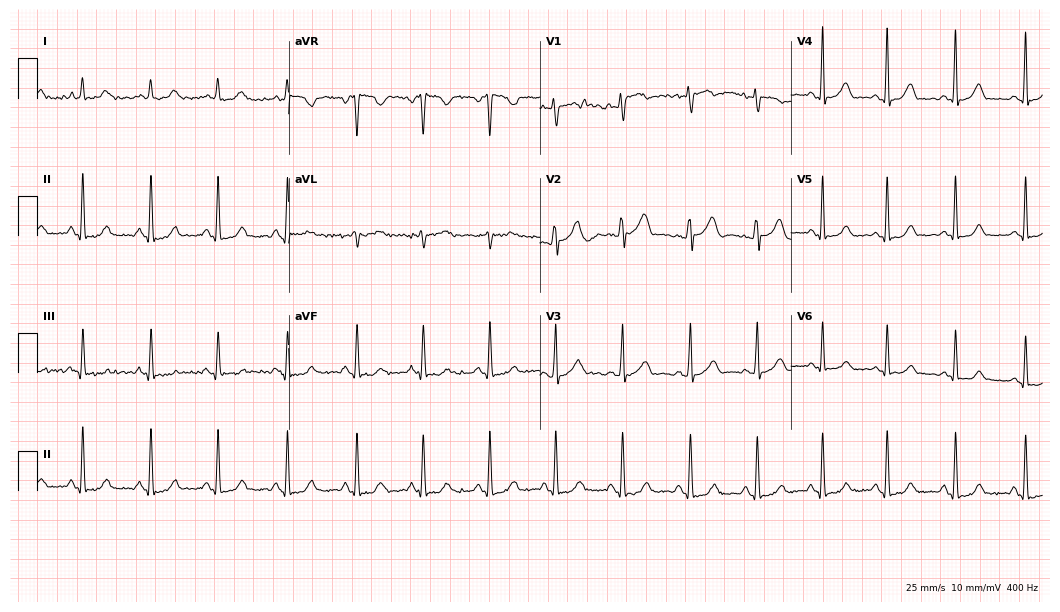
Resting 12-lead electrocardiogram. Patient: a 36-year-old woman. Read as a normal ECG.